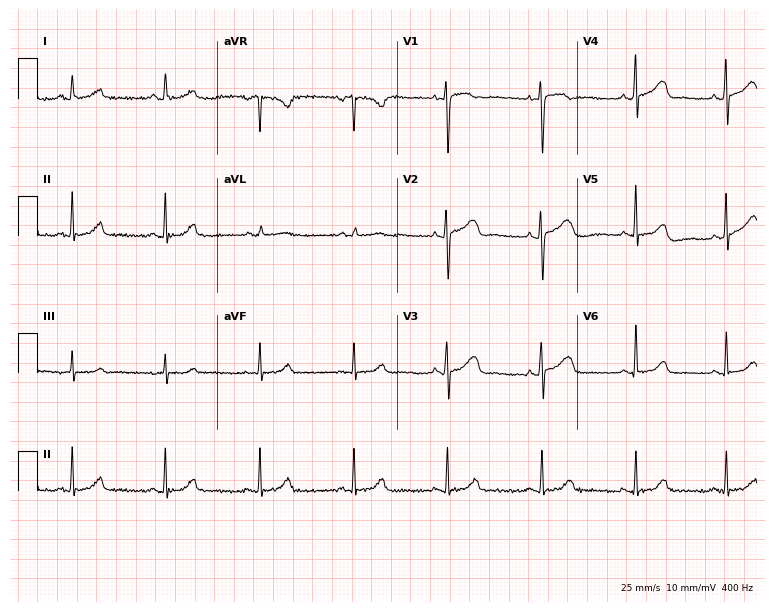
12-lead ECG from a female patient, 37 years old (7.3-second recording at 400 Hz). Recorded interpretation: within normal limits.